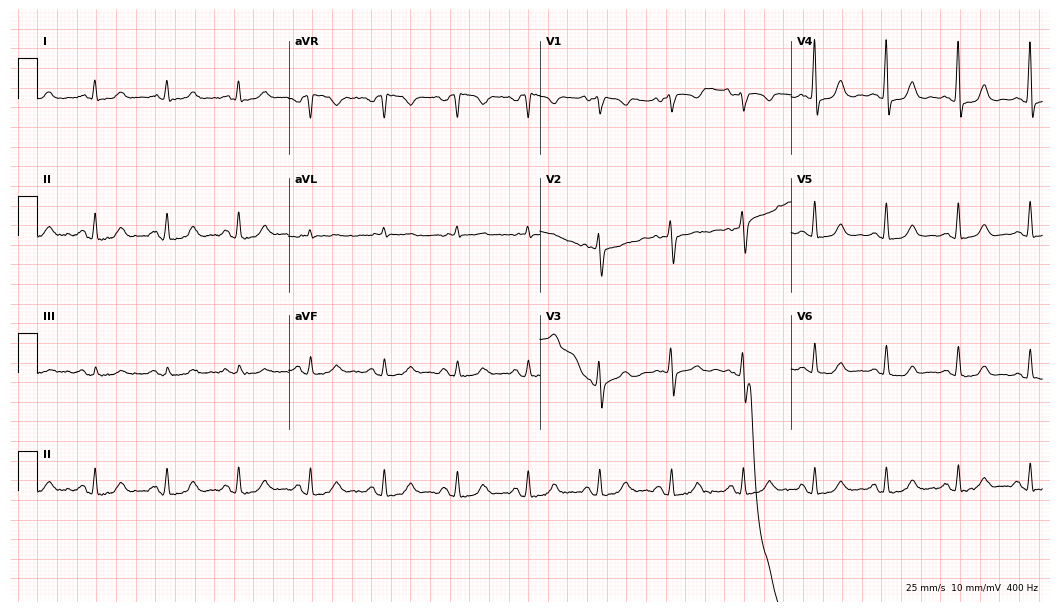
Resting 12-lead electrocardiogram. Patient: a 62-year-old woman. Read as a normal ECG.